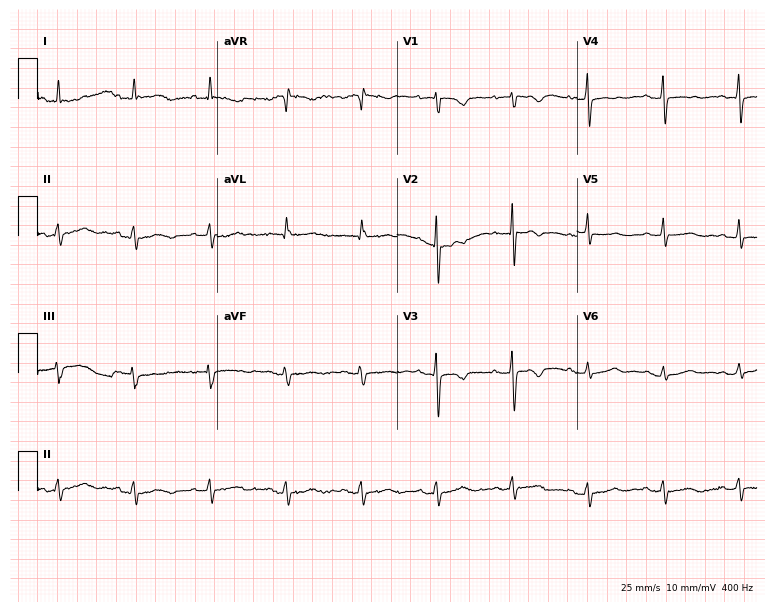
Electrocardiogram (7.3-second recording at 400 Hz), a 34-year-old female. Of the six screened findings (first-degree AV block, right bundle branch block (RBBB), left bundle branch block (LBBB), sinus bradycardia, atrial fibrillation (AF), sinus tachycardia), none is recorded. Only these six findings were labelled.